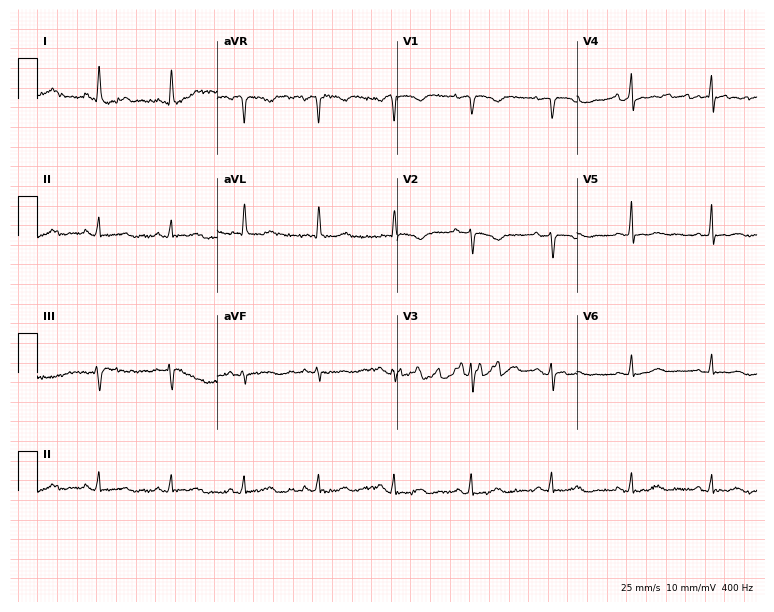
Resting 12-lead electrocardiogram (7.3-second recording at 400 Hz). Patient: a female, 70 years old. None of these six findings is recorded: first-degree AV block, right bundle branch block, left bundle branch block, sinus bradycardia, atrial fibrillation, sinus tachycardia.